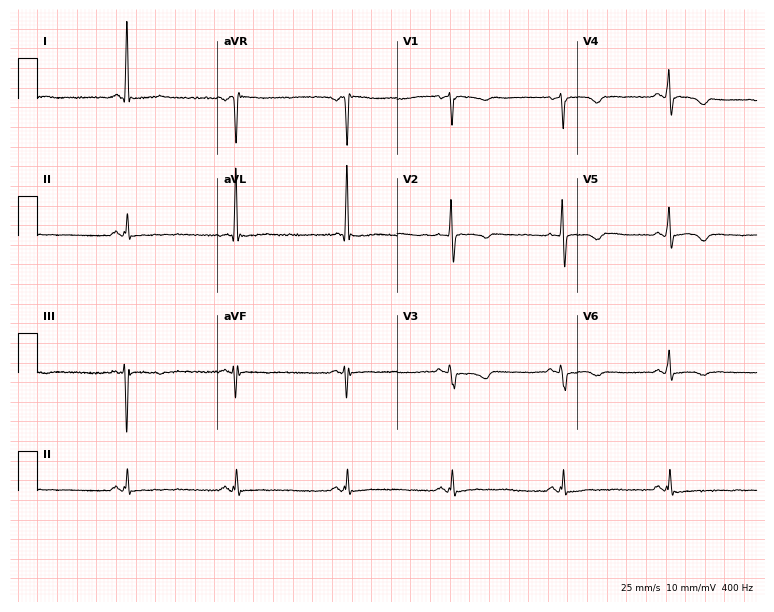
12-lead ECG from a woman, 58 years old. Screened for six findings — first-degree AV block, right bundle branch block (RBBB), left bundle branch block (LBBB), sinus bradycardia, atrial fibrillation (AF), sinus tachycardia — none is recorded. Only these six findings were labelled.